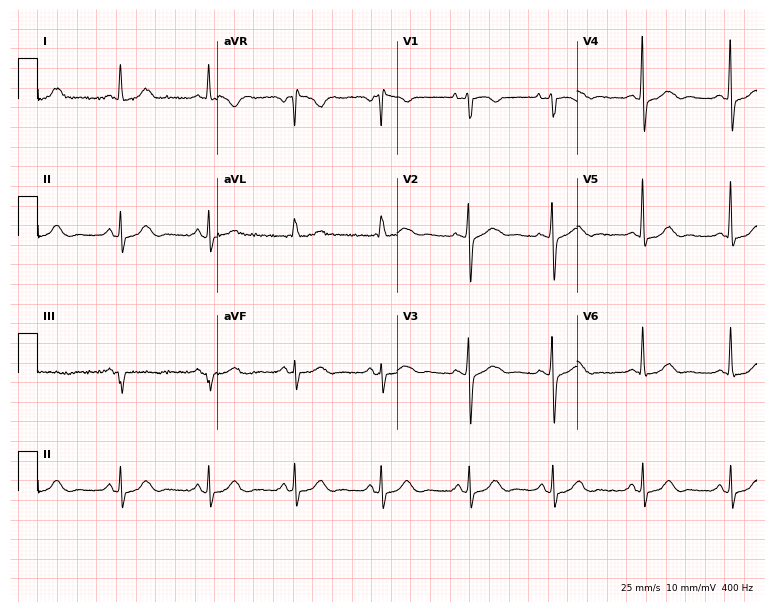
12-lead ECG from a 69-year-old female patient. Labelled as a normal ECG.